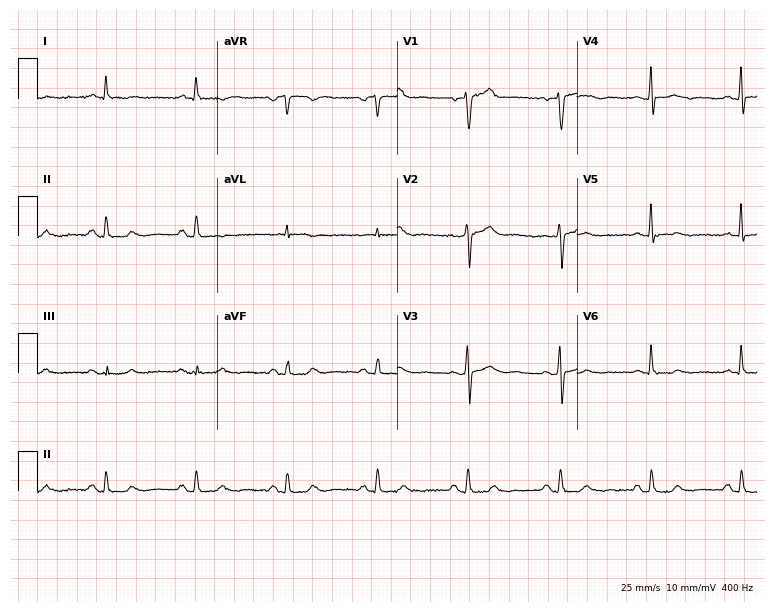
Resting 12-lead electrocardiogram. Patient: a 73-year-old male. Read as a normal ECG.